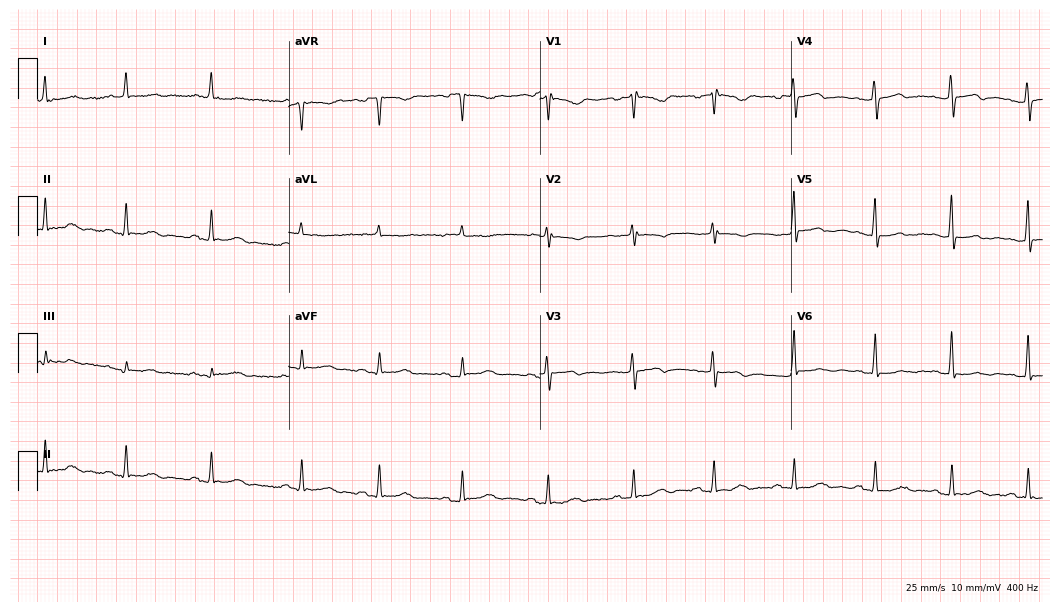
Electrocardiogram, a woman, 56 years old. Overall reading on record: normal ECG.